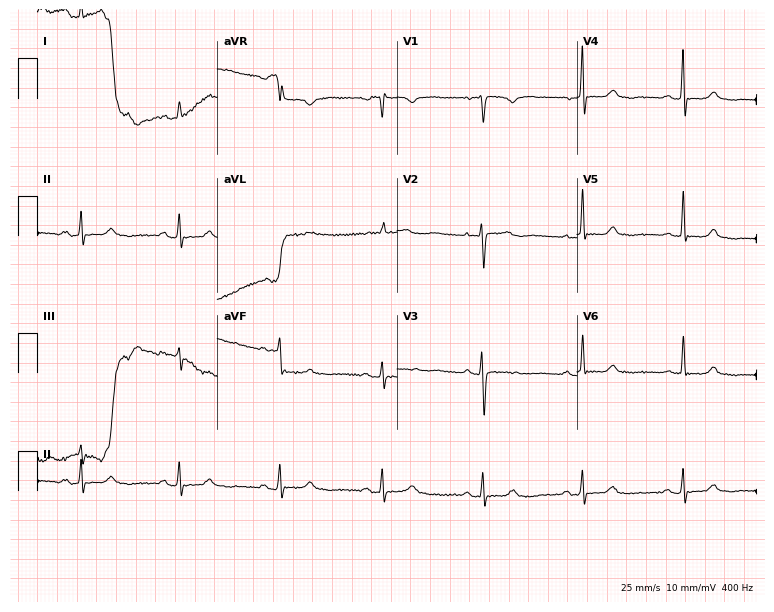
12-lead ECG from a 58-year-old female patient. No first-degree AV block, right bundle branch block, left bundle branch block, sinus bradycardia, atrial fibrillation or sinus tachycardia recorded for this tracing.